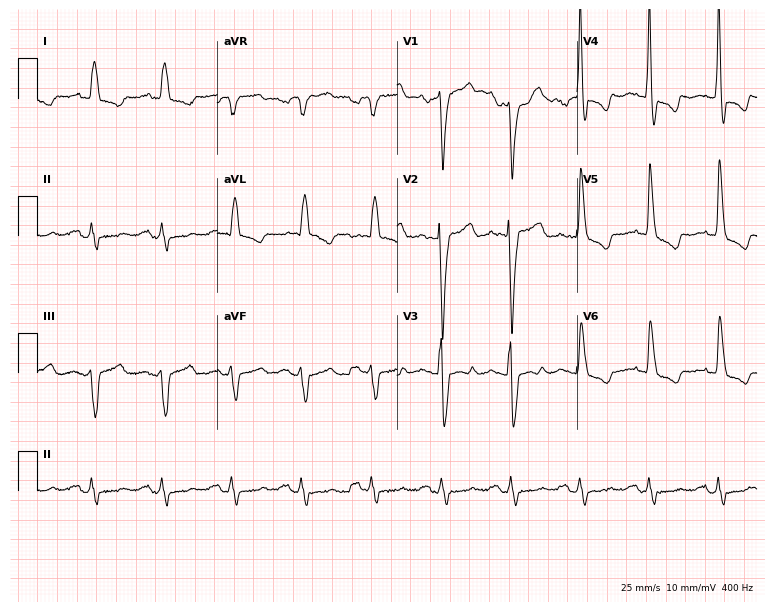
12-lead ECG from a 73-year-old female patient (7.3-second recording at 400 Hz). Shows left bundle branch block.